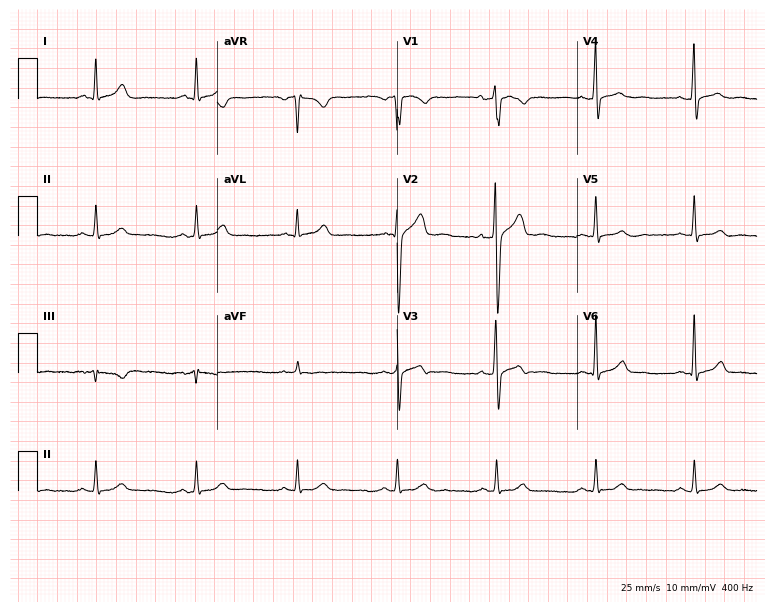
Electrocardiogram (7.3-second recording at 400 Hz), a 31-year-old man. Of the six screened findings (first-degree AV block, right bundle branch block, left bundle branch block, sinus bradycardia, atrial fibrillation, sinus tachycardia), none is recorded.